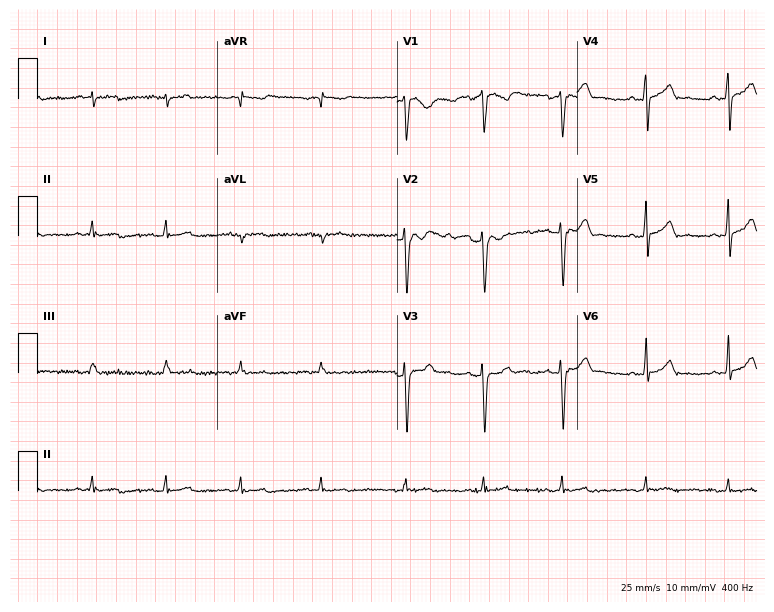
12-lead ECG (7.3-second recording at 400 Hz) from a 29-year-old female patient. Labelled as a normal ECG.